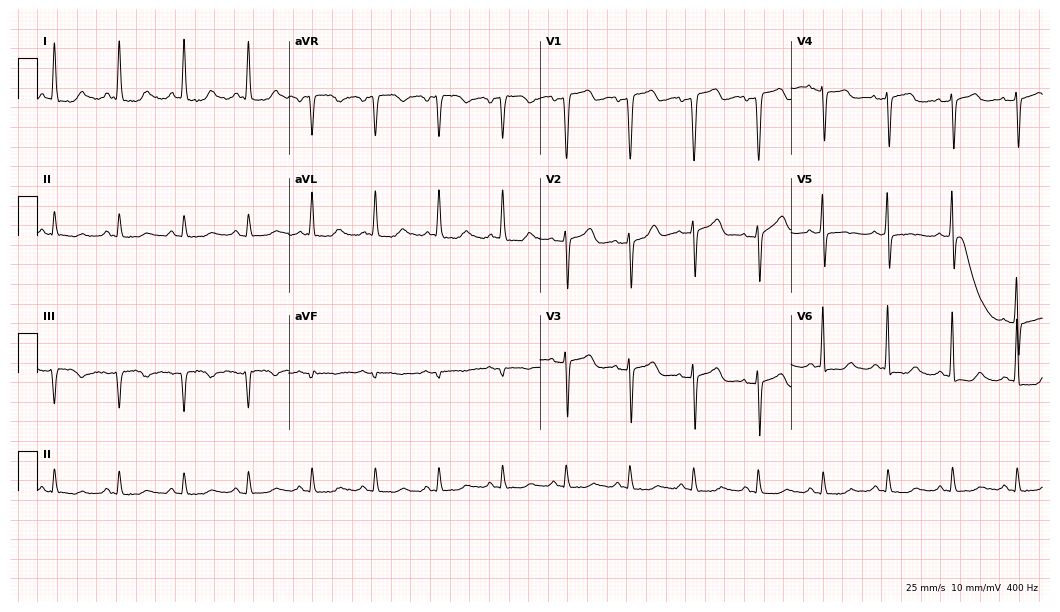
ECG — a female, 72 years old. Screened for six findings — first-degree AV block, right bundle branch block, left bundle branch block, sinus bradycardia, atrial fibrillation, sinus tachycardia — none is recorded. Findings outside these six are not listed.